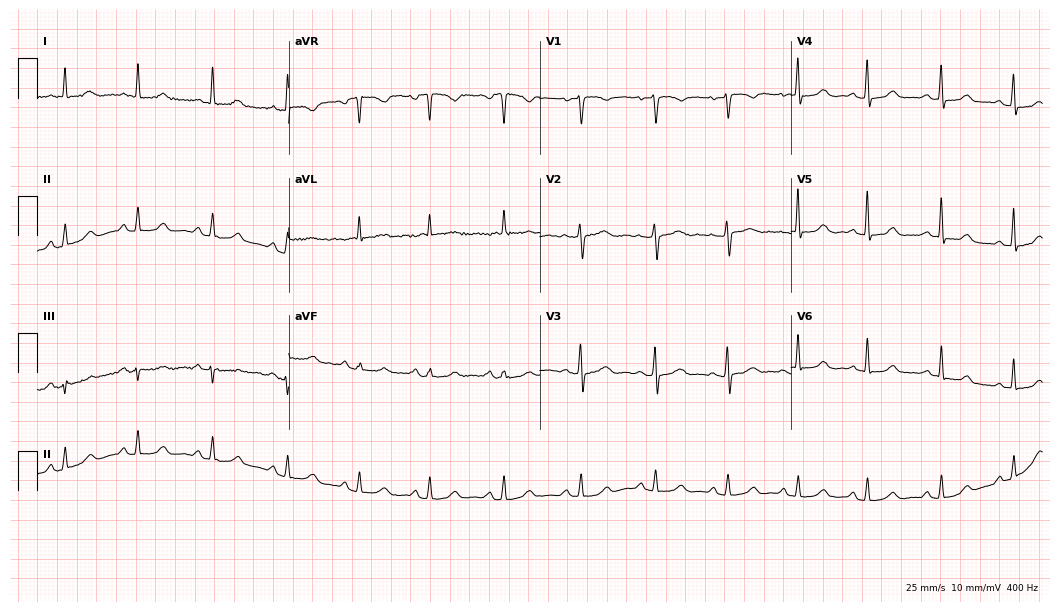
Standard 12-lead ECG recorded from a female patient, 59 years old. Read as a normal ECG.